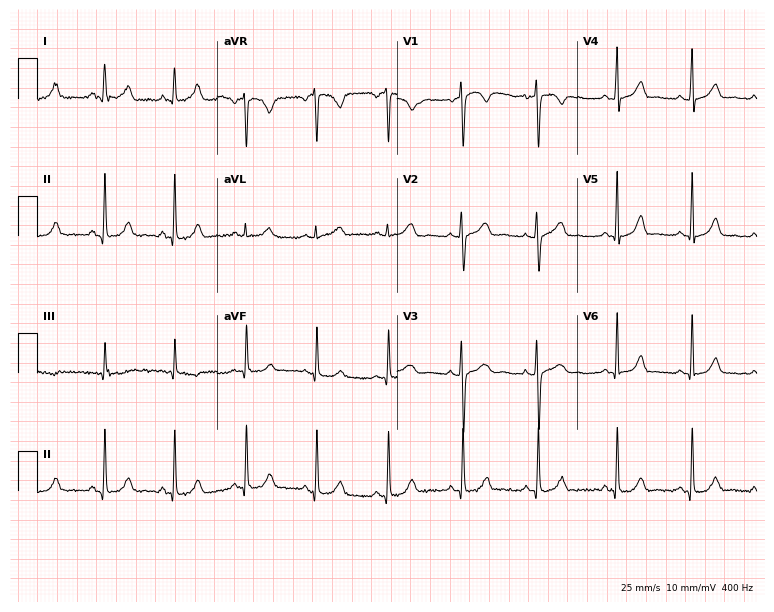
12-lead ECG from a woman, 20 years old. Recorded interpretation: within normal limits.